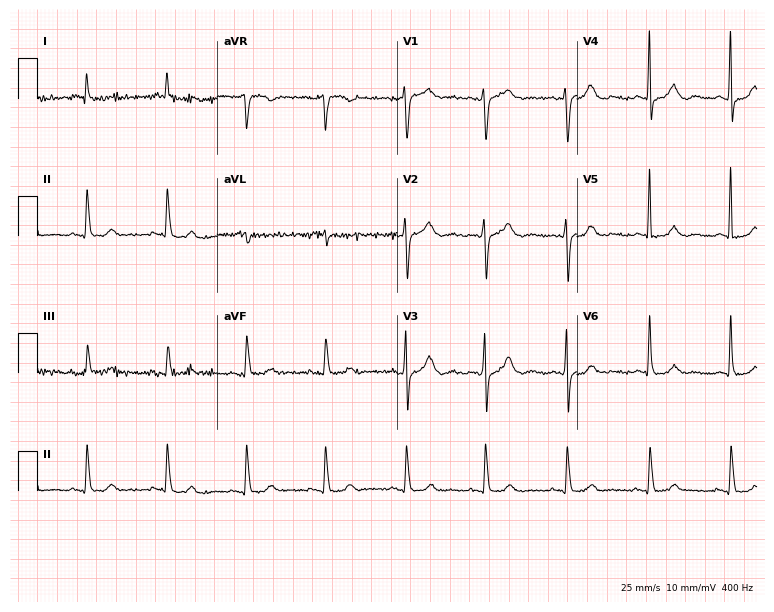
12-lead ECG from a female patient, 81 years old (7.3-second recording at 400 Hz). Recorded interpretation: within normal limits.